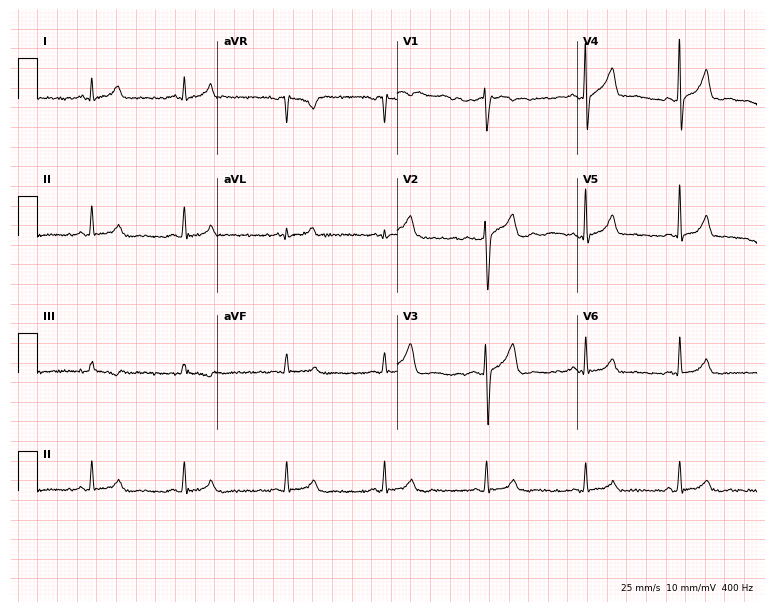
Electrocardiogram (7.3-second recording at 400 Hz), a 43-year-old man. Of the six screened findings (first-degree AV block, right bundle branch block, left bundle branch block, sinus bradycardia, atrial fibrillation, sinus tachycardia), none is recorded. Other findings, if any, are not listed.